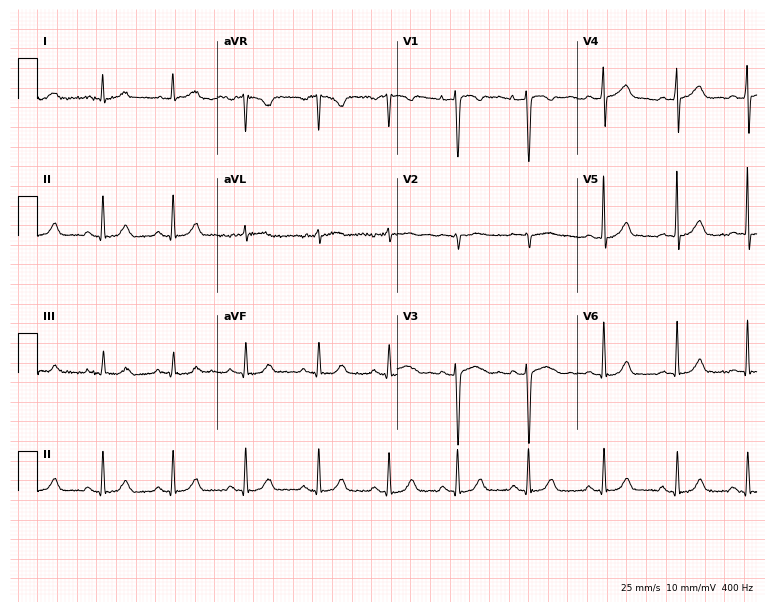
12-lead ECG from a 27-year-old woman (7.3-second recording at 400 Hz). Recorded interpretation: within normal limits.